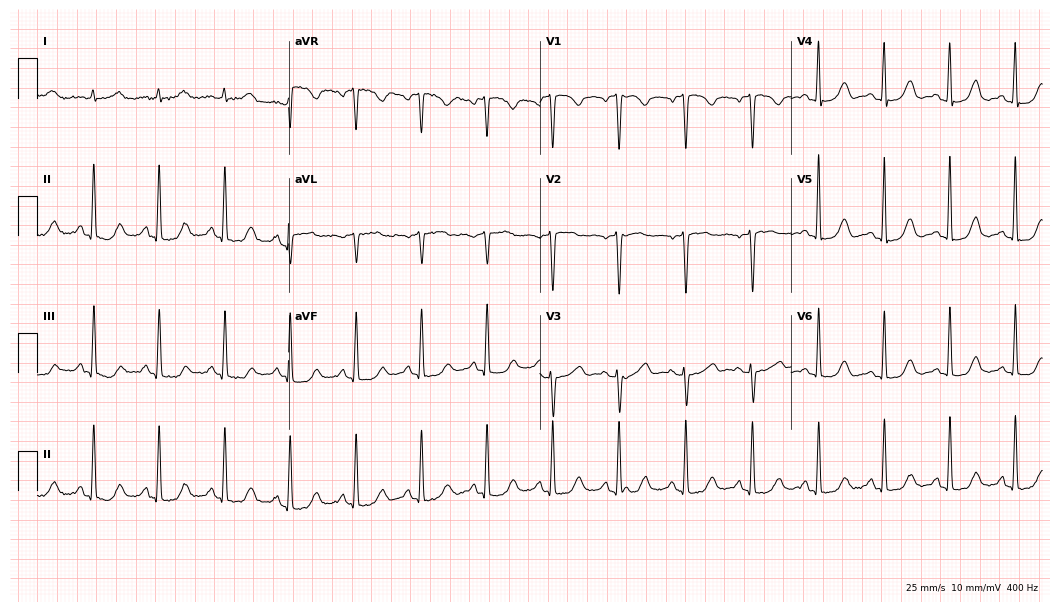
12-lead ECG from a woman, 57 years old (10.2-second recording at 400 Hz). Recorded interpretation: within normal limits.